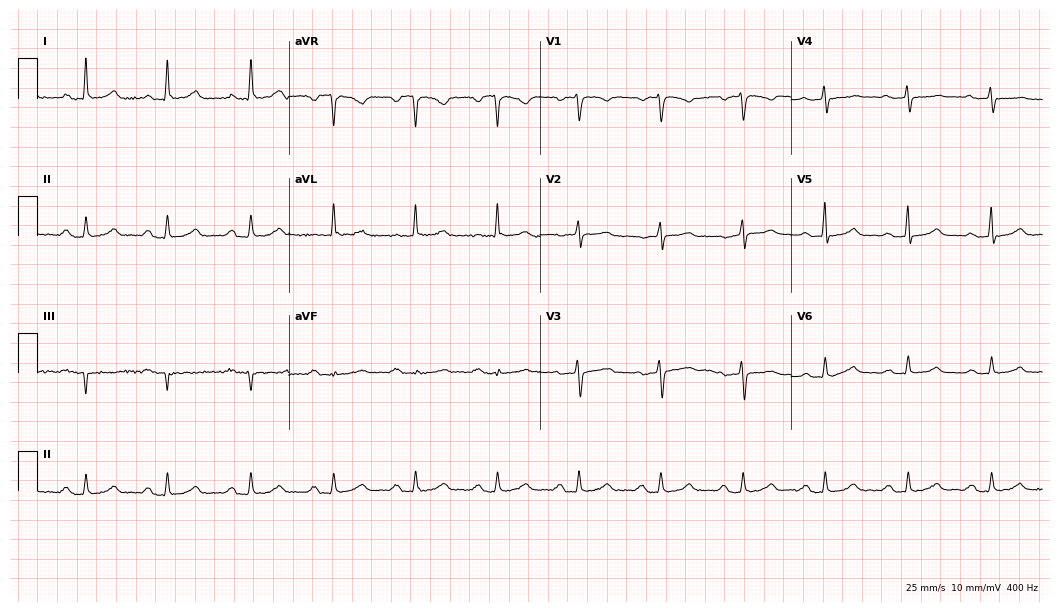
12-lead ECG from a 63-year-old woman (10.2-second recording at 400 Hz). Shows first-degree AV block.